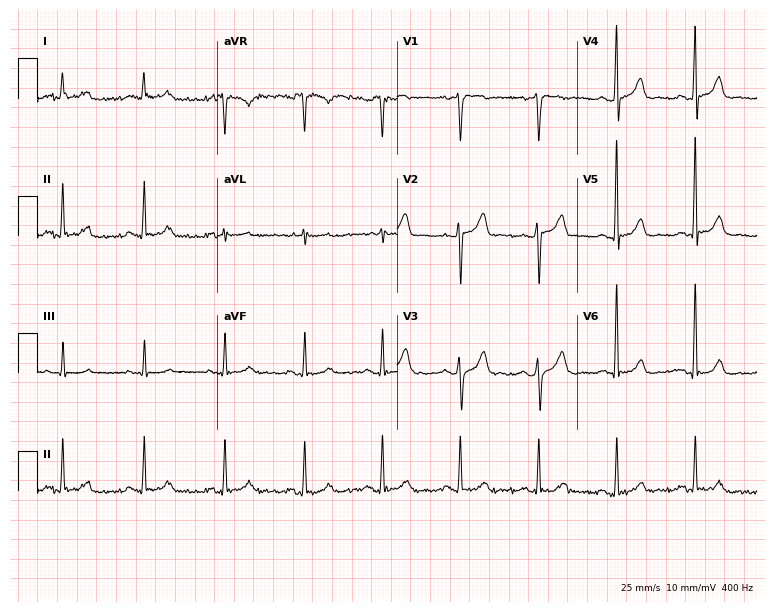
Electrocardiogram (7.3-second recording at 400 Hz), a 37-year-old male. Overall reading on record: normal ECG.